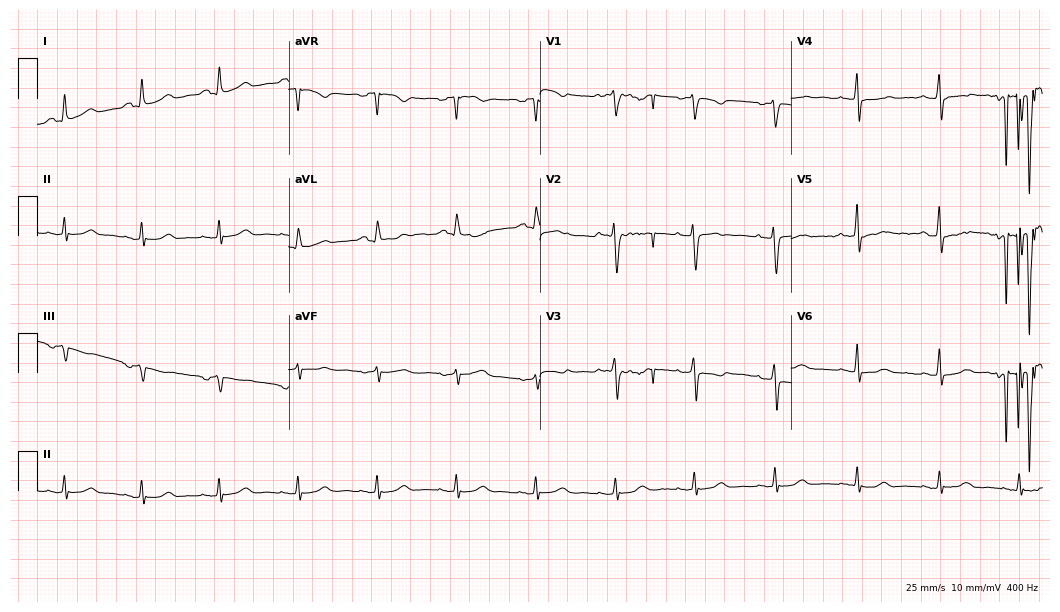
ECG (10.2-second recording at 400 Hz) — a female, 56 years old. Screened for six findings — first-degree AV block, right bundle branch block, left bundle branch block, sinus bradycardia, atrial fibrillation, sinus tachycardia — none is recorded.